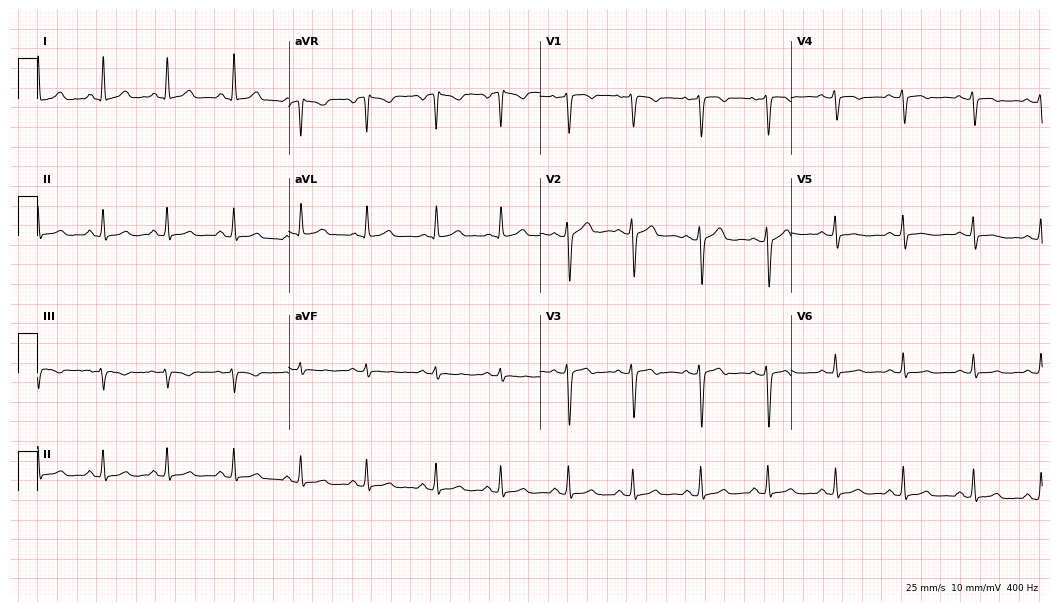
12-lead ECG from a woman, 30 years old. Labelled as a normal ECG.